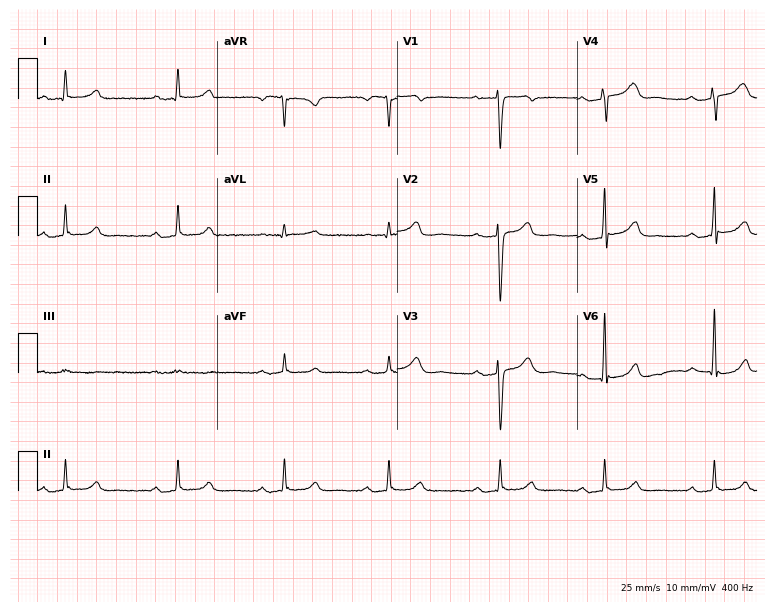
Standard 12-lead ECG recorded from a 43-year-old male. Read as a normal ECG.